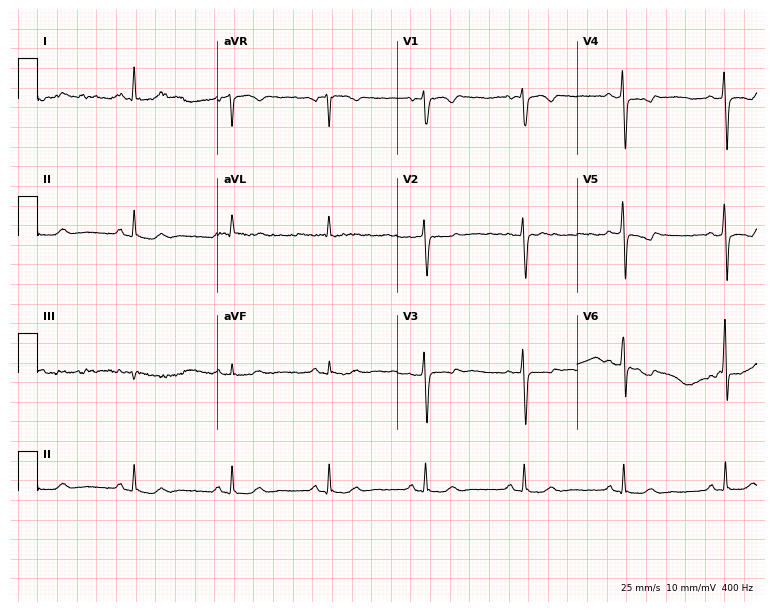
Electrocardiogram, a 58-year-old woman. Overall reading on record: normal ECG.